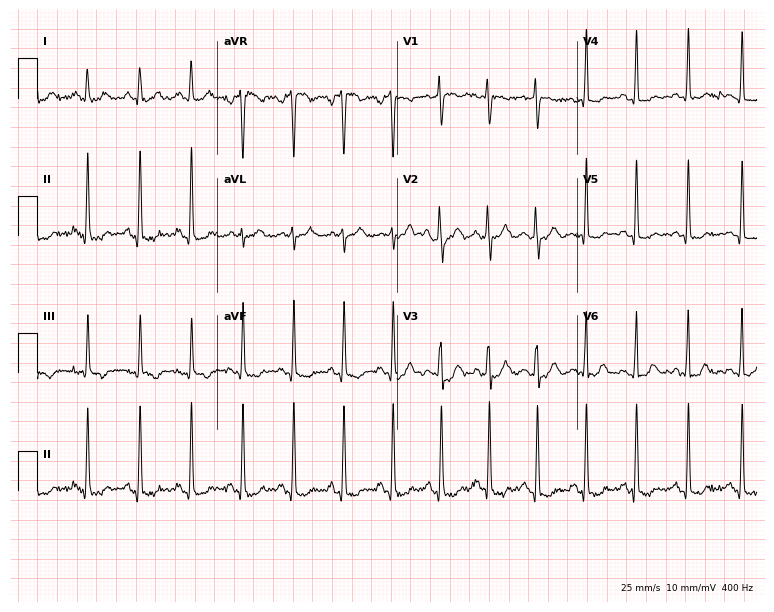
12-lead ECG from a 19-year-old female. Findings include sinus tachycardia (a sinus rate of 100 beats per minute or more).